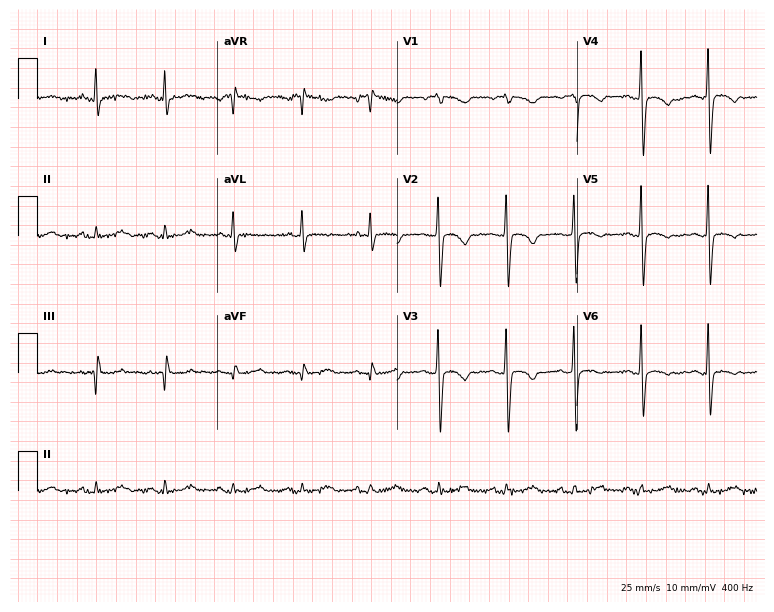
ECG — a 53-year-old woman. Screened for six findings — first-degree AV block, right bundle branch block, left bundle branch block, sinus bradycardia, atrial fibrillation, sinus tachycardia — none is recorded.